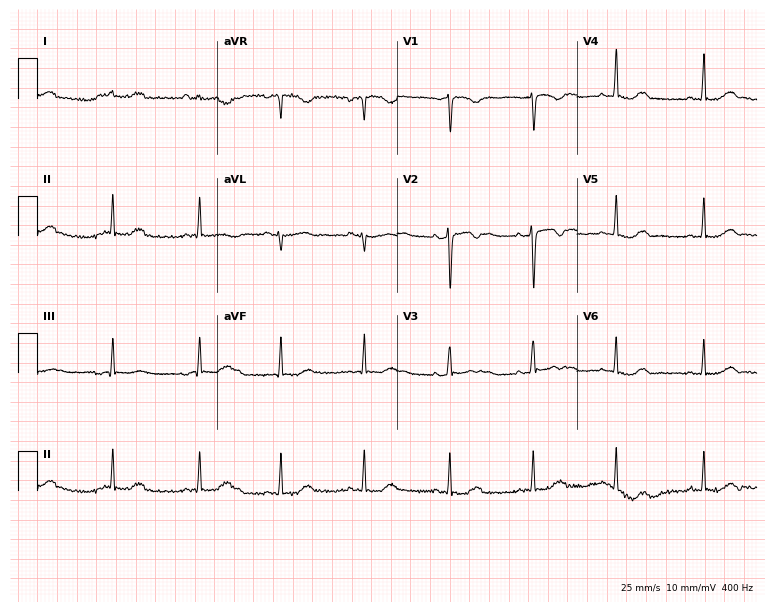
12-lead ECG from a 30-year-old woman. Labelled as a normal ECG.